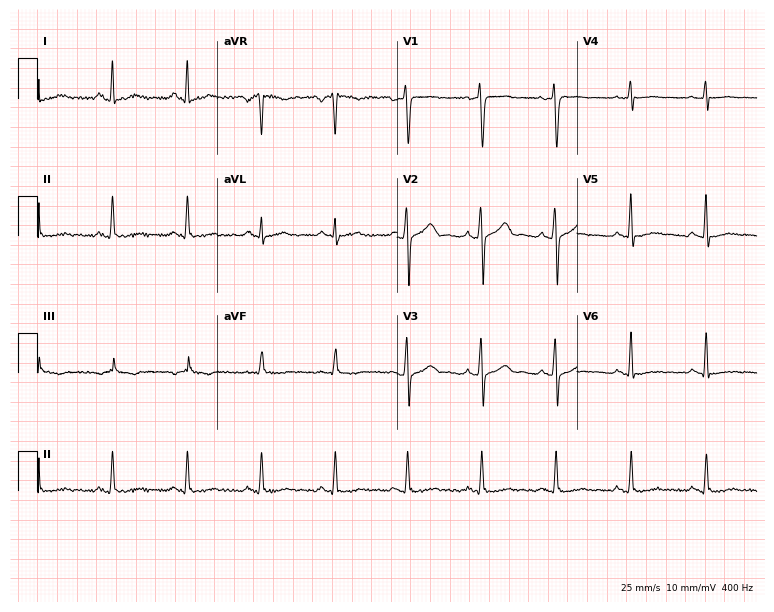
Resting 12-lead electrocardiogram (7.3-second recording at 400 Hz). Patient: a male, 47 years old. None of these six findings is recorded: first-degree AV block, right bundle branch block, left bundle branch block, sinus bradycardia, atrial fibrillation, sinus tachycardia. Only these six findings were labelled.